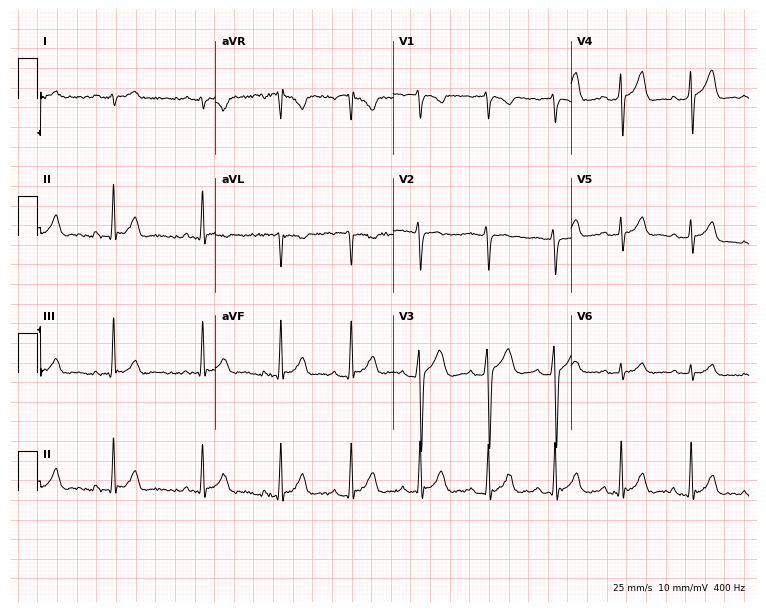
Resting 12-lead electrocardiogram (7.3-second recording at 400 Hz). Patient: a male, 20 years old. None of these six findings is recorded: first-degree AV block, right bundle branch block, left bundle branch block, sinus bradycardia, atrial fibrillation, sinus tachycardia.